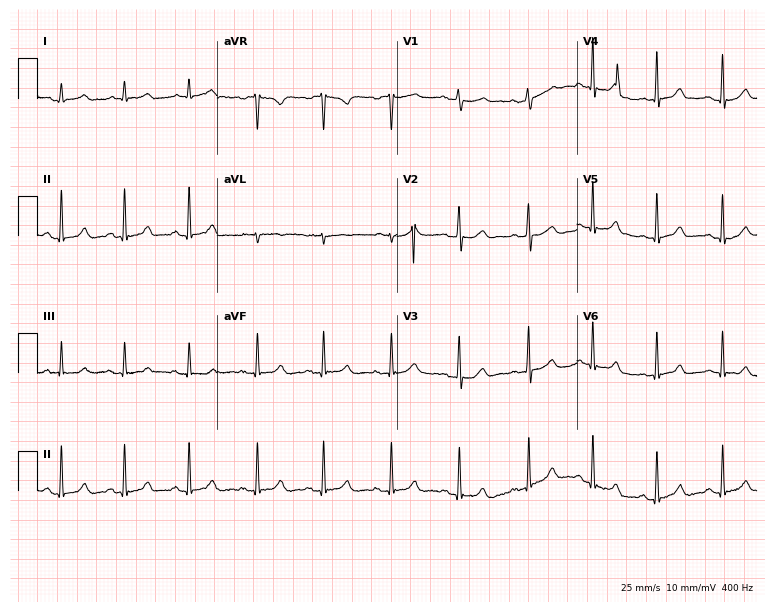
12-lead ECG (7.3-second recording at 400 Hz) from a 19-year-old female. Labelled as a normal ECG.